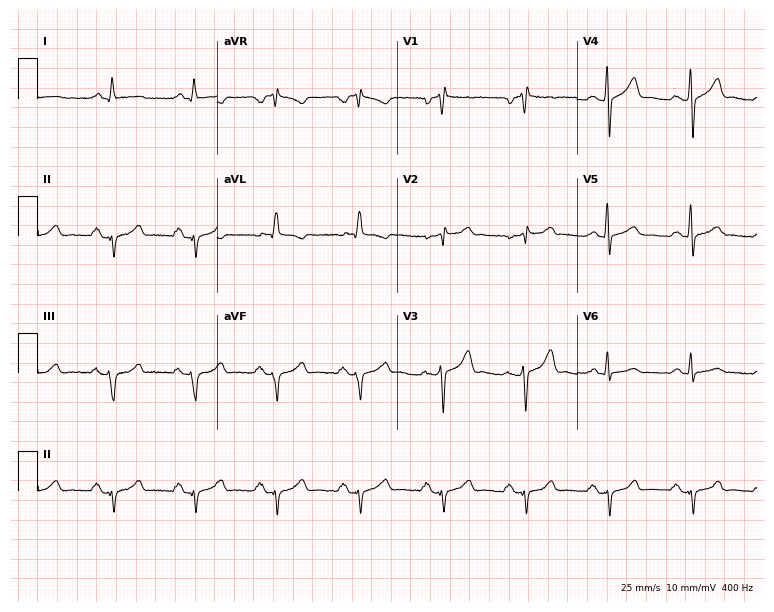
12-lead ECG from a 60-year-old male. No first-degree AV block, right bundle branch block, left bundle branch block, sinus bradycardia, atrial fibrillation or sinus tachycardia recorded for this tracing.